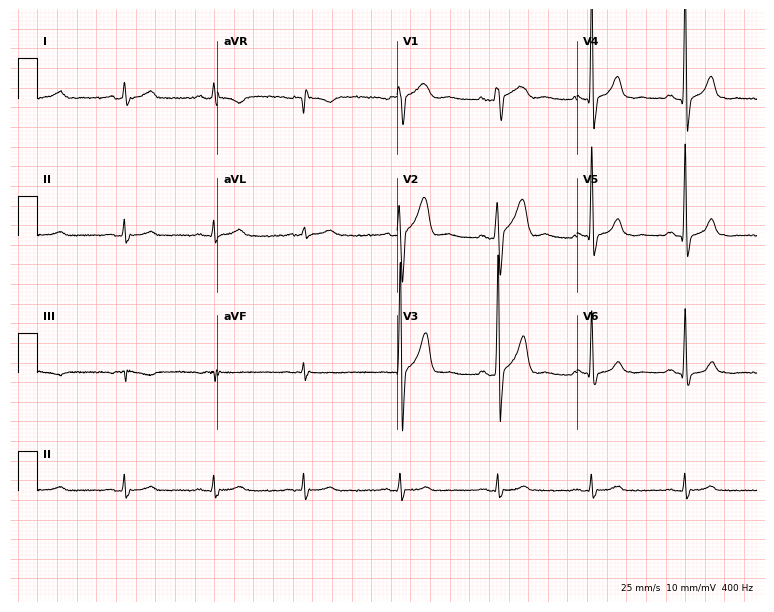
Standard 12-lead ECG recorded from a male patient, 41 years old (7.3-second recording at 400 Hz). Read as a normal ECG.